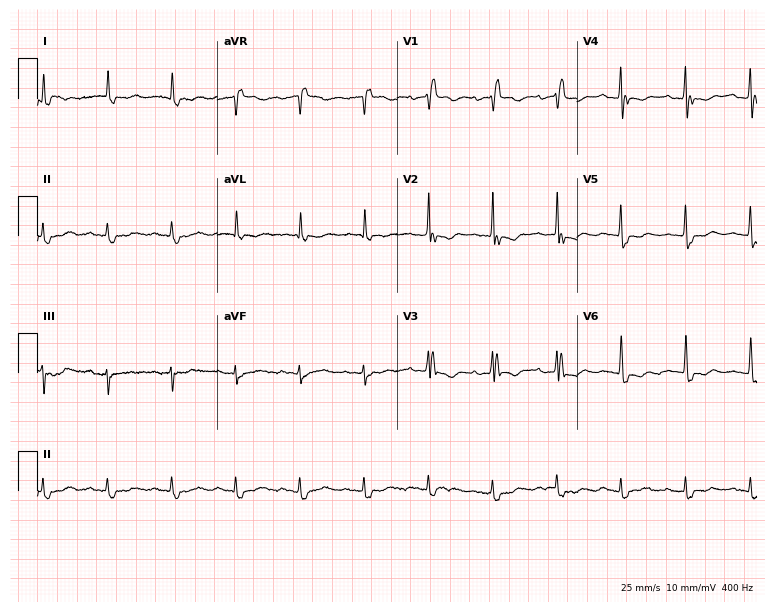
Resting 12-lead electrocardiogram. Patient: a female, 84 years old. The tracing shows right bundle branch block.